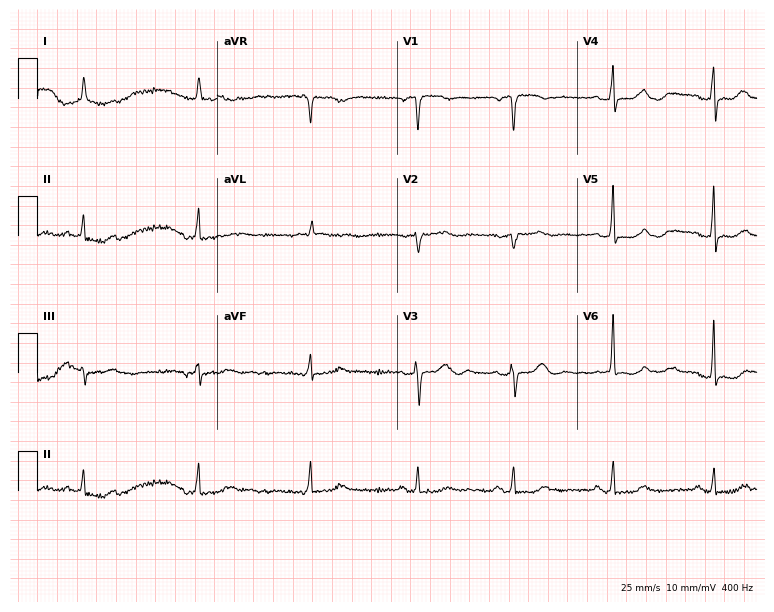
Standard 12-lead ECG recorded from a 69-year-old woman (7.3-second recording at 400 Hz). None of these six findings is recorded: first-degree AV block, right bundle branch block, left bundle branch block, sinus bradycardia, atrial fibrillation, sinus tachycardia.